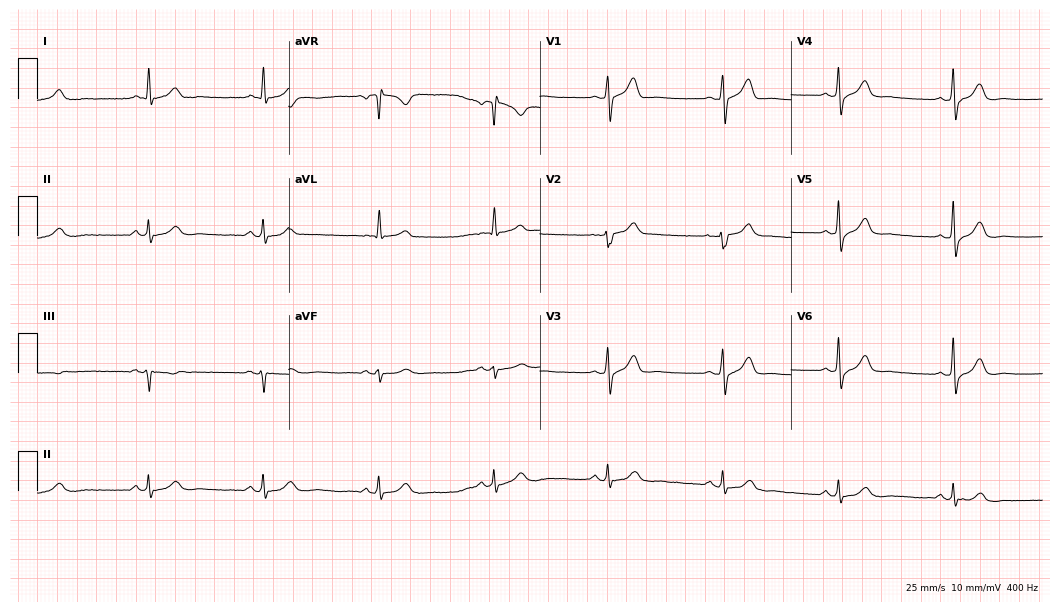
Electrocardiogram (10.2-second recording at 400 Hz), a 72-year-old male. Of the six screened findings (first-degree AV block, right bundle branch block (RBBB), left bundle branch block (LBBB), sinus bradycardia, atrial fibrillation (AF), sinus tachycardia), none is recorded. Only these six findings were labelled.